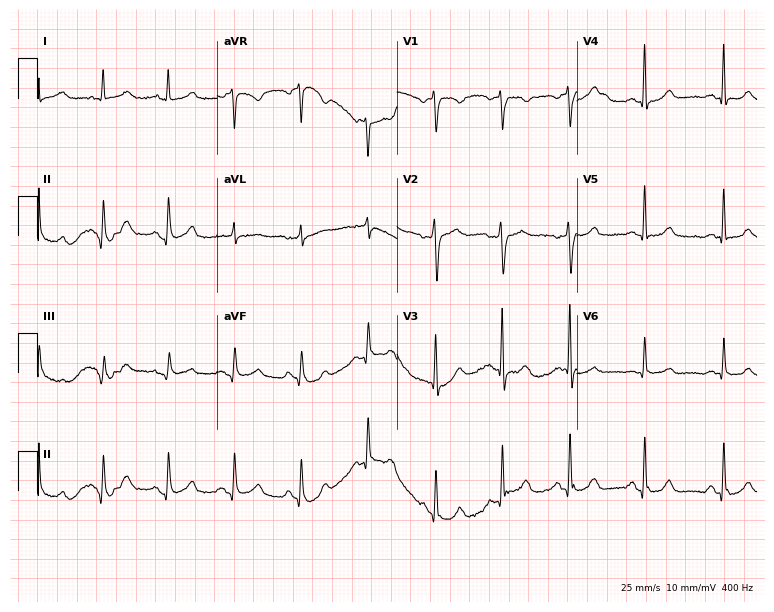
Resting 12-lead electrocardiogram (7.3-second recording at 400 Hz). Patient: a female, 52 years old. Read as a normal ECG.